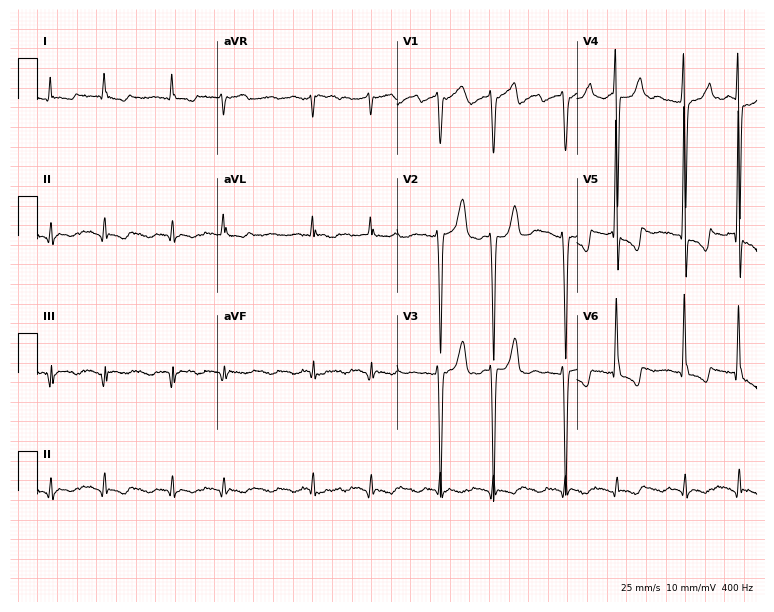
12-lead ECG (7.3-second recording at 400 Hz) from an 82-year-old male. Screened for six findings — first-degree AV block, right bundle branch block, left bundle branch block, sinus bradycardia, atrial fibrillation, sinus tachycardia — none is recorded. Other findings, if any, are not listed.